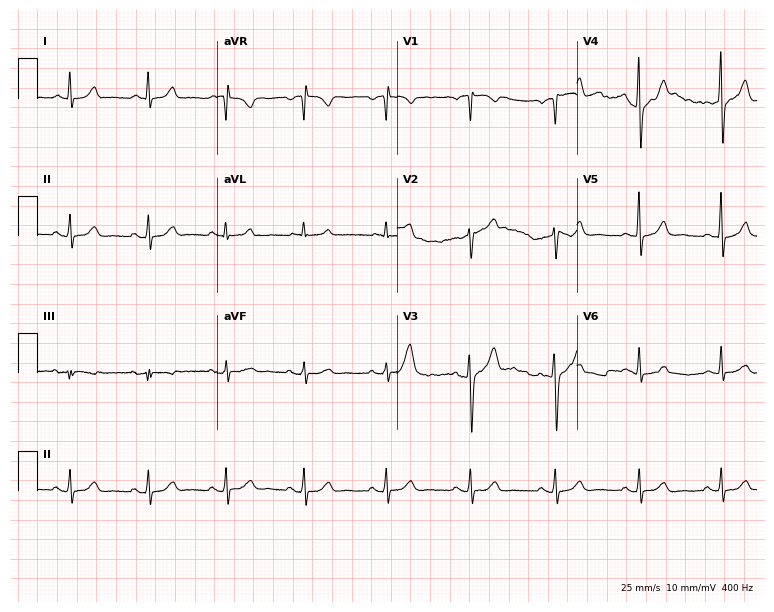
Standard 12-lead ECG recorded from a 48-year-old male patient (7.3-second recording at 400 Hz). Read as a normal ECG.